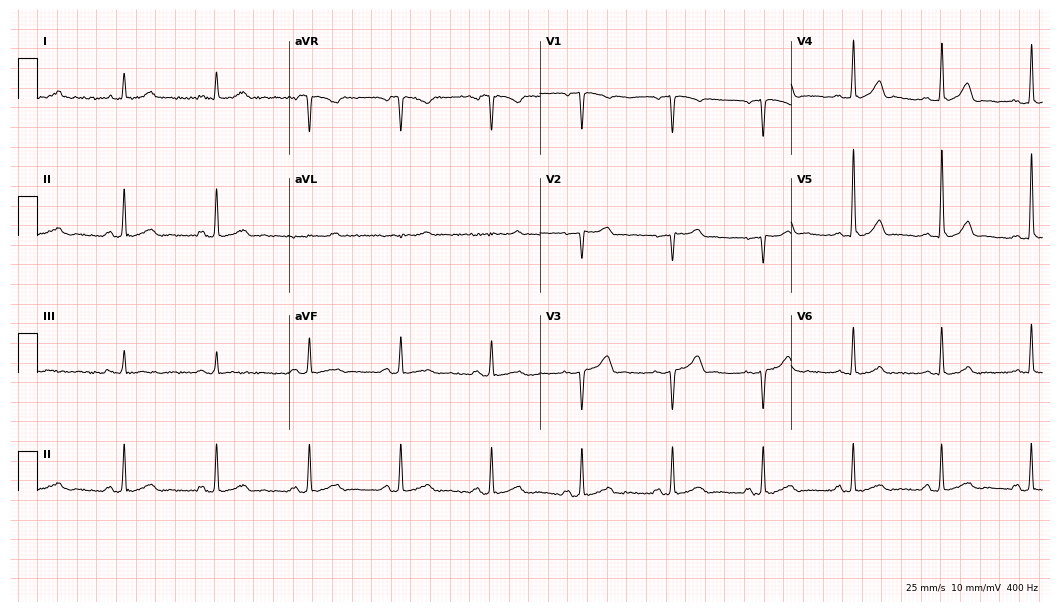
12-lead ECG from a male patient, 60 years old. Labelled as a normal ECG.